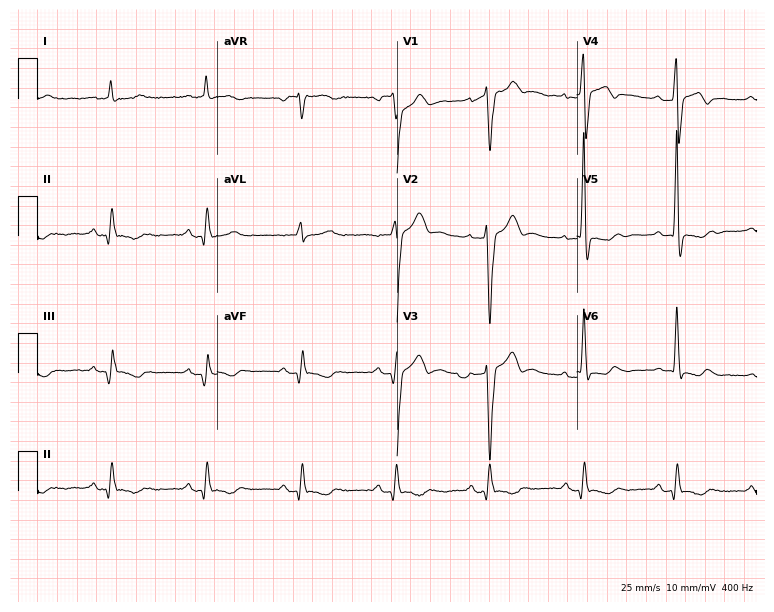
12-lead ECG (7.3-second recording at 400 Hz) from a 59-year-old man. Screened for six findings — first-degree AV block, right bundle branch block (RBBB), left bundle branch block (LBBB), sinus bradycardia, atrial fibrillation (AF), sinus tachycardia — none is recorded.